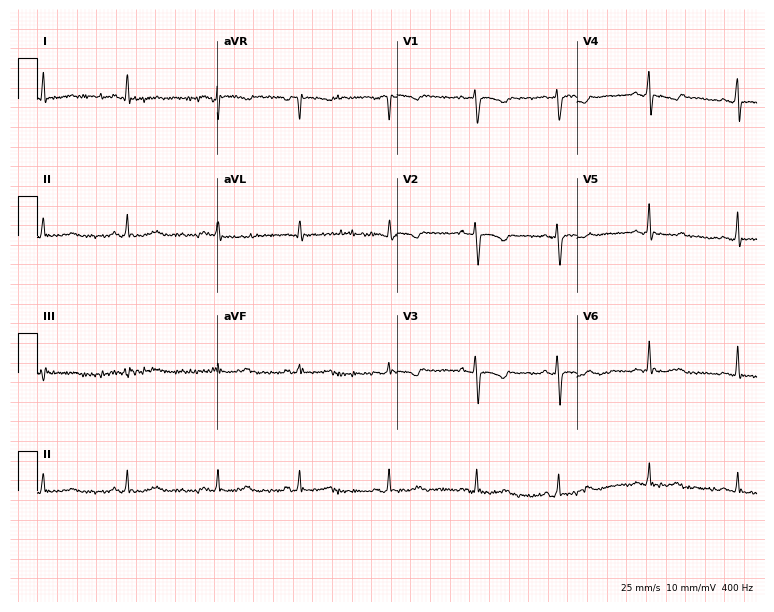
ECG — a female patient, 60 years old. Screened for six findings — first-degree AV block, right bundle branch block, left bundle branch block, sinus bradycardia, atrial fibrillation, sinus tachycardia — none is recorded. Findings outside these six are not listed.